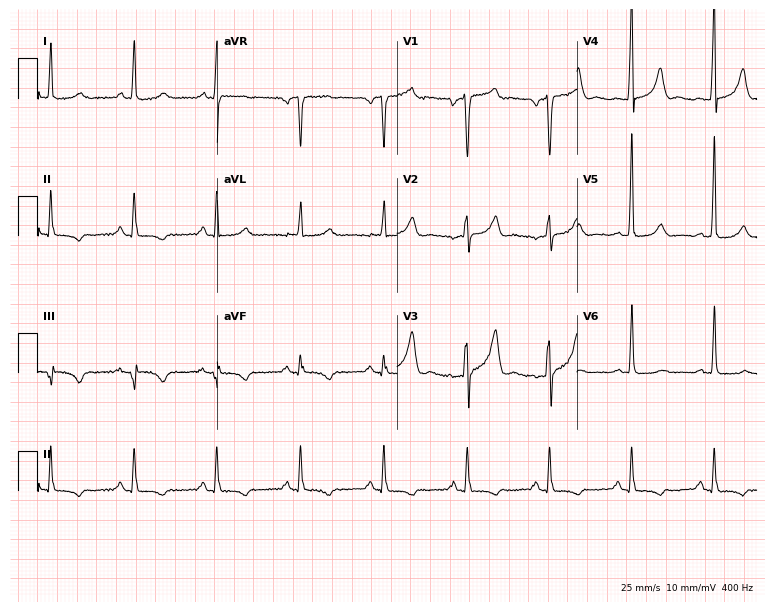
Resting 12-lead electrocardiogram. Patient: a 66-year-old male. None of these six findings is recorded: first-degree AV block, right bundle branch block (RBBB), left bundle branch block (LBBB), sinus bradycardia, atrial fibrillation (AF), sinus tachycardia. Findings outside these six are not listed.